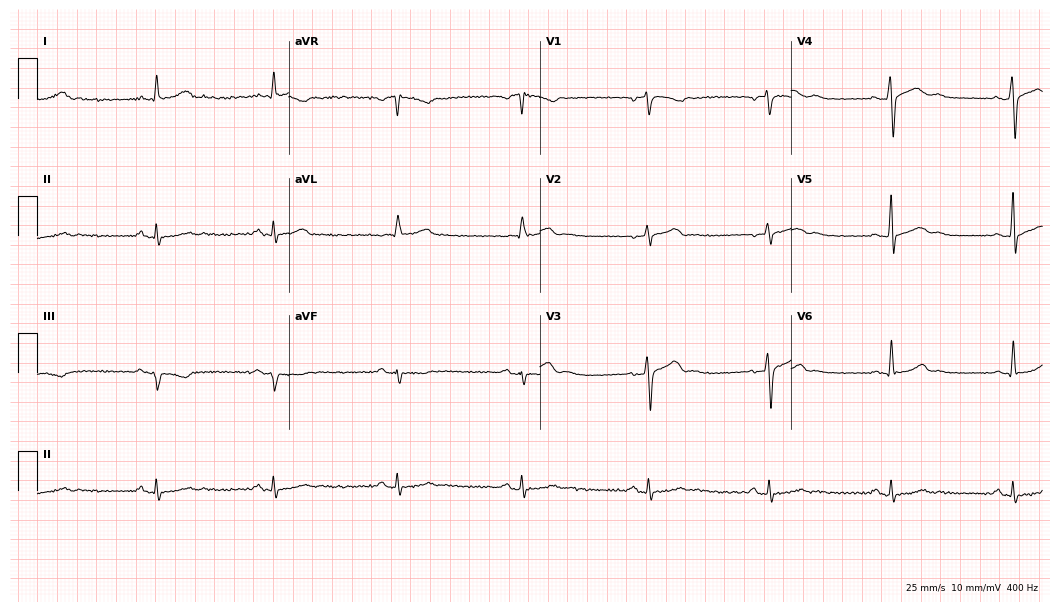
12-lead ECG from a man, 32 years old. Shows sinus bradycardia (a sinus rate of 50 beats per minute or less).